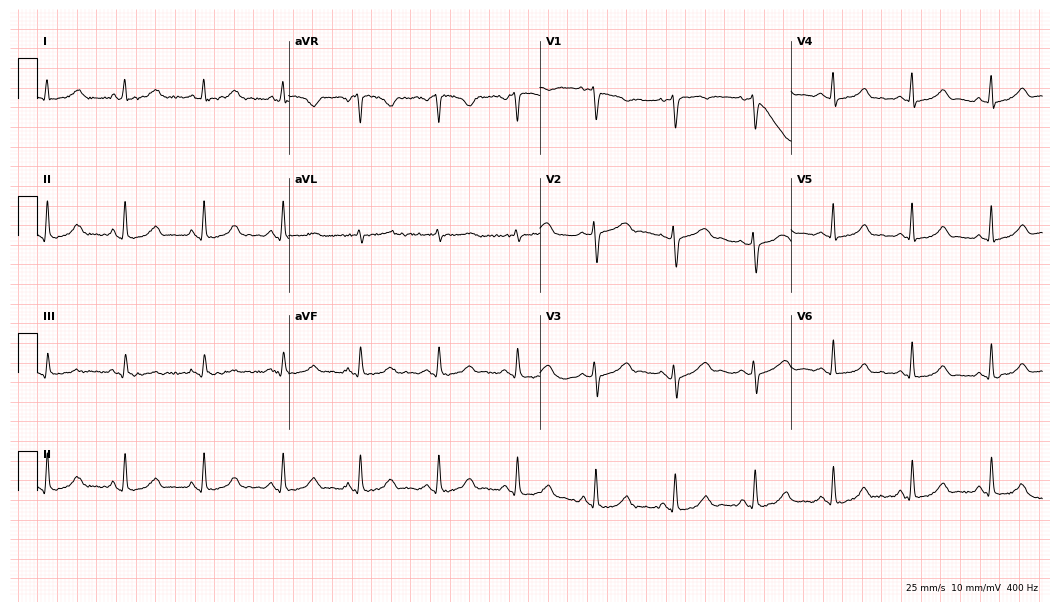
Resting 12-lead electrocardiogram (10.2-second recording at 400 Hz). Patient: a woman, 38 years old. Read as a normal ECG.